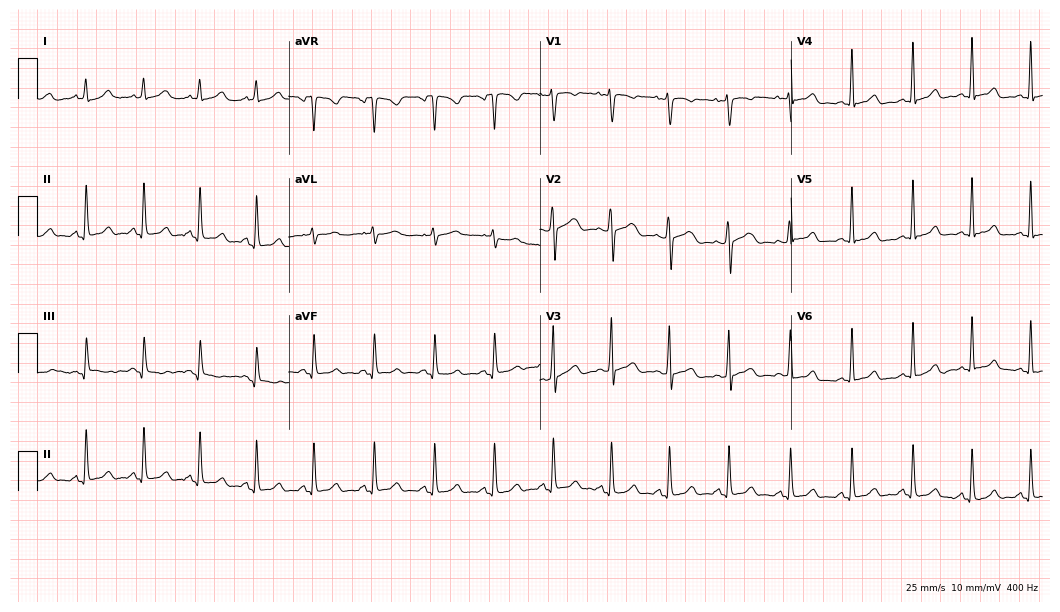
Standard 12-lead ECG recorded from a female patient, 26 years old. Read as a normal ECG.